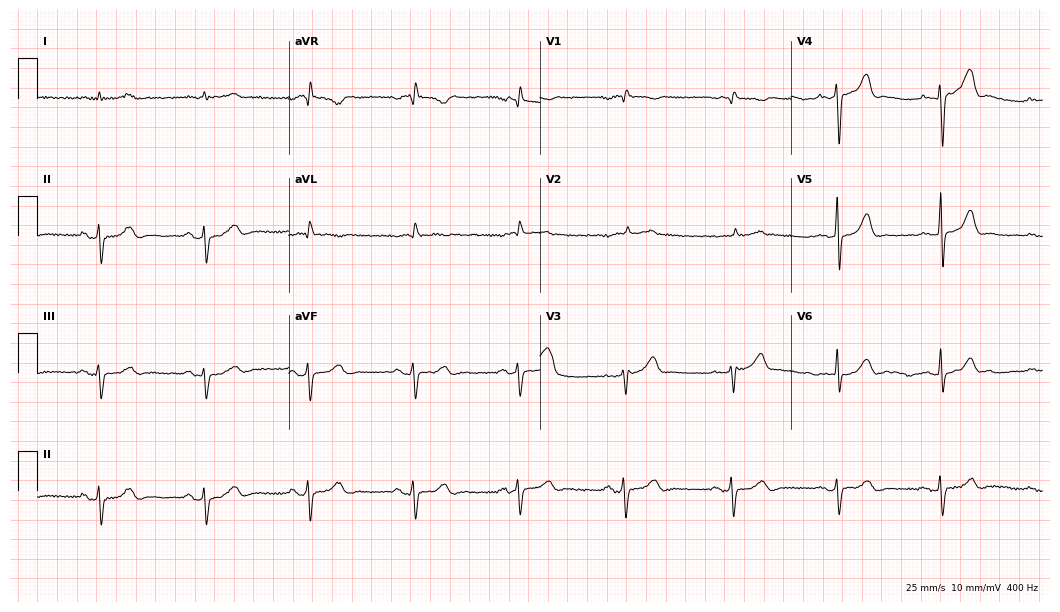
Resting 12-lead electrocardiogram. Patient: a male, 76 years old. None of these six findings is recorded: first-degree AV block, right bundle branch block (RBBB), left bundle branch block (LBBB), sinus bradycardia, atrial fibrillation (AF), sinus tachycardia.